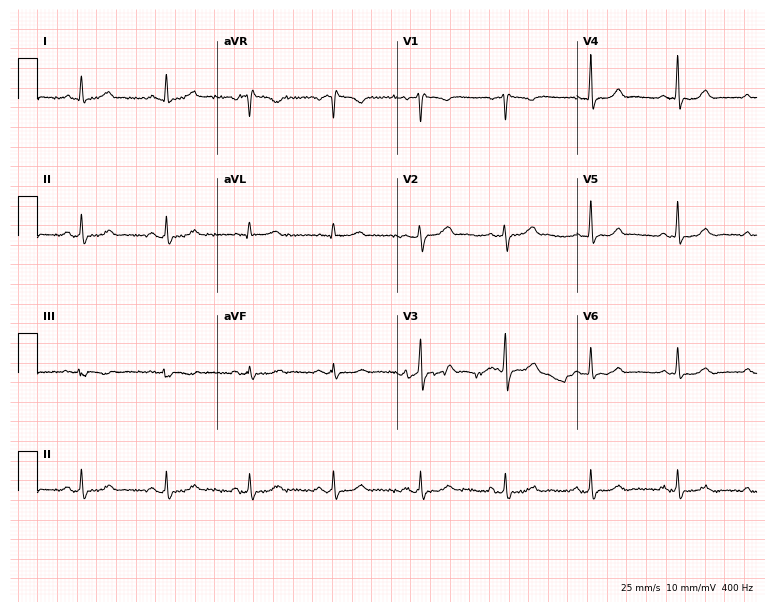
Standard 12-lead ECG recorded from a 42-year-old female patient (7.3-second recording at 400 Hz). None of these six findings is recorded: first-degree AV block, right bundle branch block, left bundle branch block, sinus bradycardia, atrial fibrillation, sinus tachycardia.